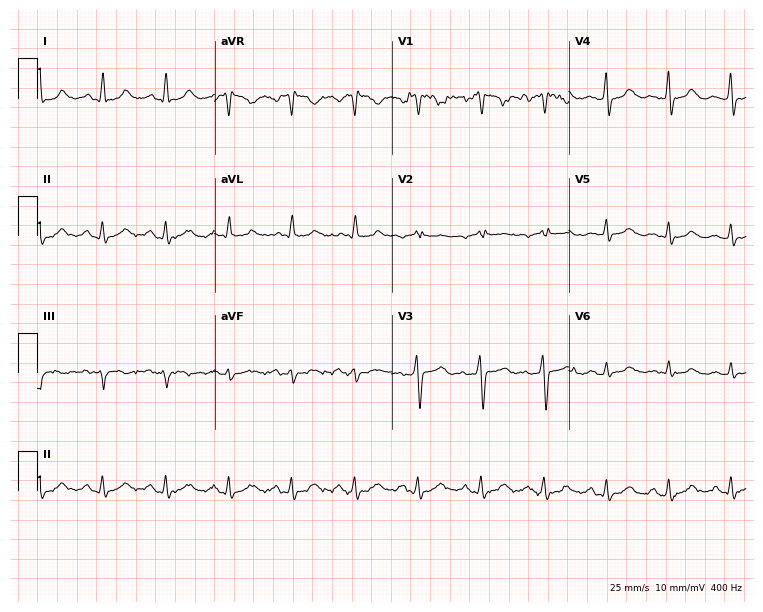
12-lead ECG (7.2-second recording at 400 Hz) from a 30-year-old female patient. Labelled as a normal ECG.